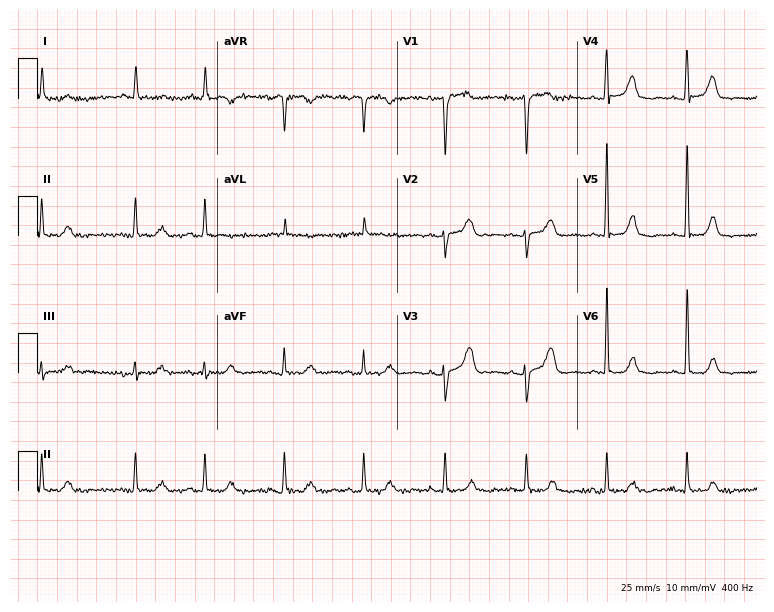
ECG (7.3-second recording at 400 Hz) — a 75-year-old woman. Labelled as a normal ECG.